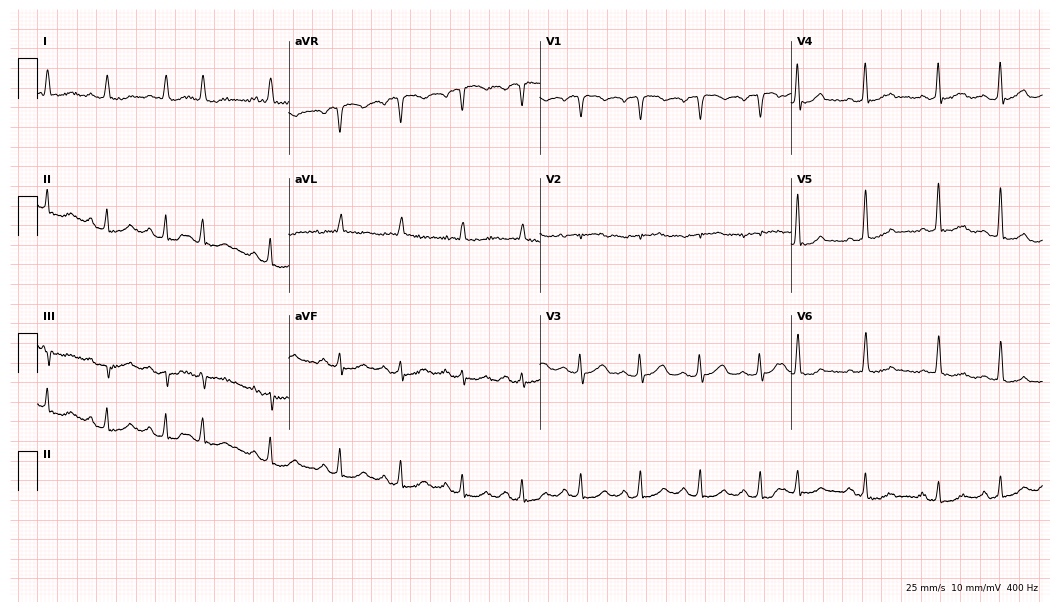
ECG — a 78-year-old male patient. Screened for six findings — first-degree AV block, right bundle branch block (RBBB), left bundle branch block (LBBB), sinus bradycardia, atrial fibrillation (AF), sinus tachycardia — none is recorded. Only these six findings were labelled.